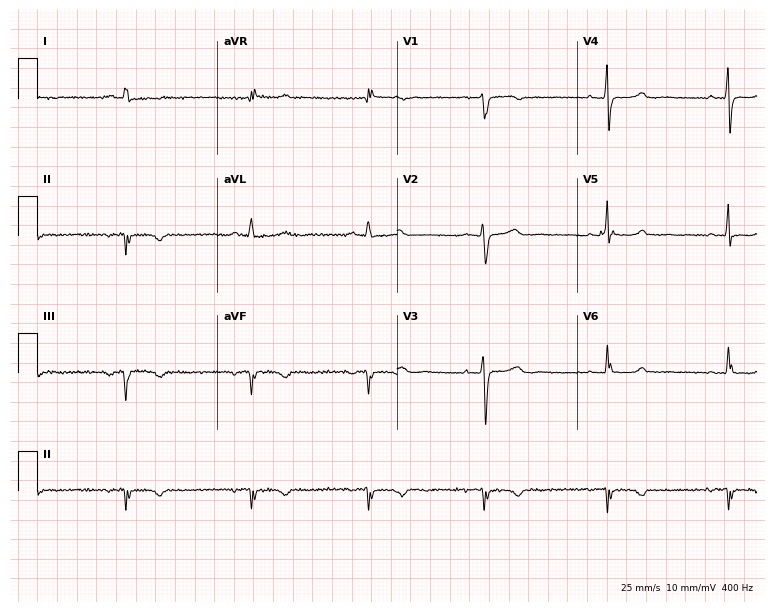
ECG (7.3-second recording at 400 Hz) — a woman, 59 years old. Screened for six findings — first-degree AV block, right bundle branch block (RBBB), left bundle branch block (LBBB), sinus bradycardia, atrial fibrillation (AF), sinus tachycardia — none is recorded.